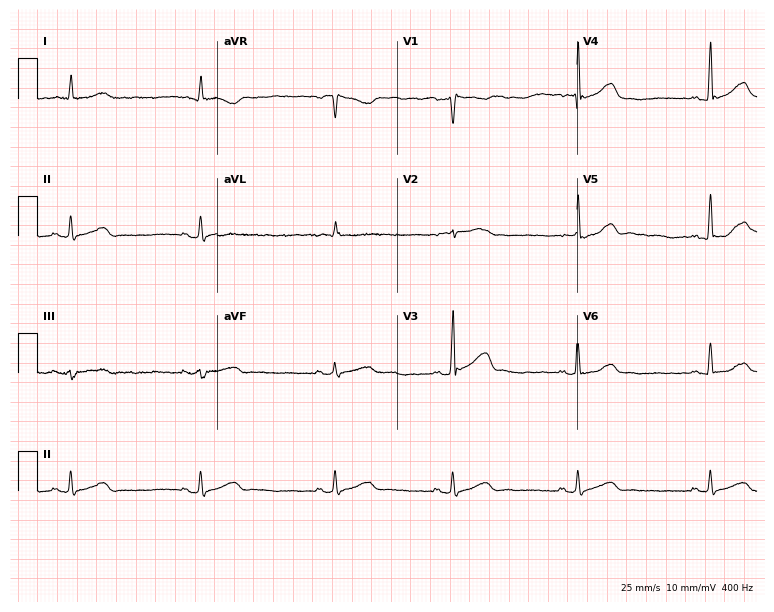
12-lead ECG (7.3-second recording at 400 Hz) from a 46-year-old male patient. Findings include right bundle branch block.